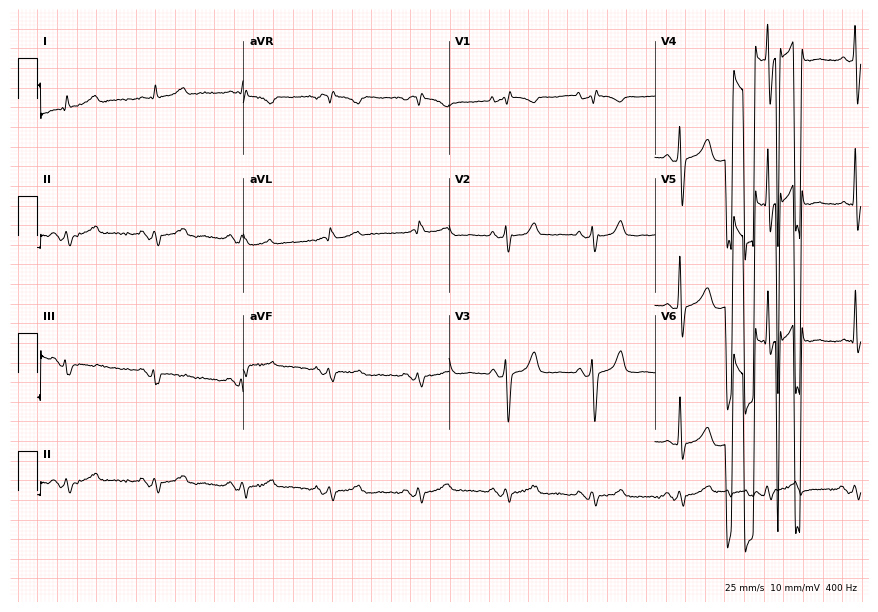
12-lead ECG from a male patient, 71 years old (8.4-second recording at 400 Hz). No first-degree AV block, right bundle branch block, left bundle branch block, sinus bradycardia, atrial fibrillation or sinus tachycardia recorded for this tracing.